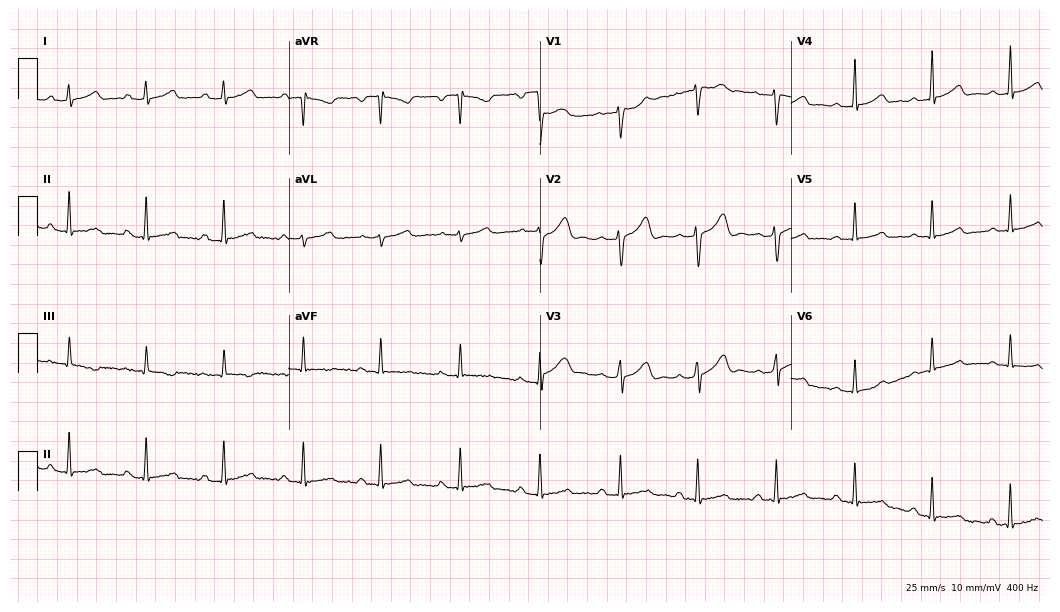
Resting 12-lead electrocardiogram (10.2-second recording at 400 Hz). Patient: a woman, 28 years old. None of these six findings is recorded: first-degree AV block, right bundle branch block, left bundle branch block, sinus bradycardia, atrial fibrillation, sinus tachycardia.